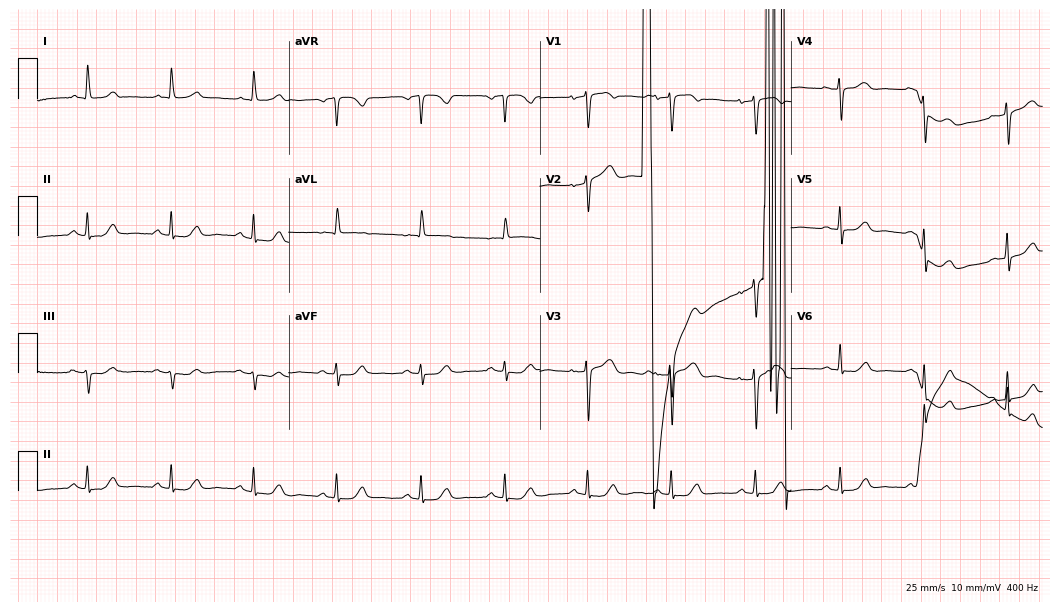
Electrocardiogram (10.2-second recording at 400 Hz), a 72-year-old female. Overall reading on record: normal ECG.